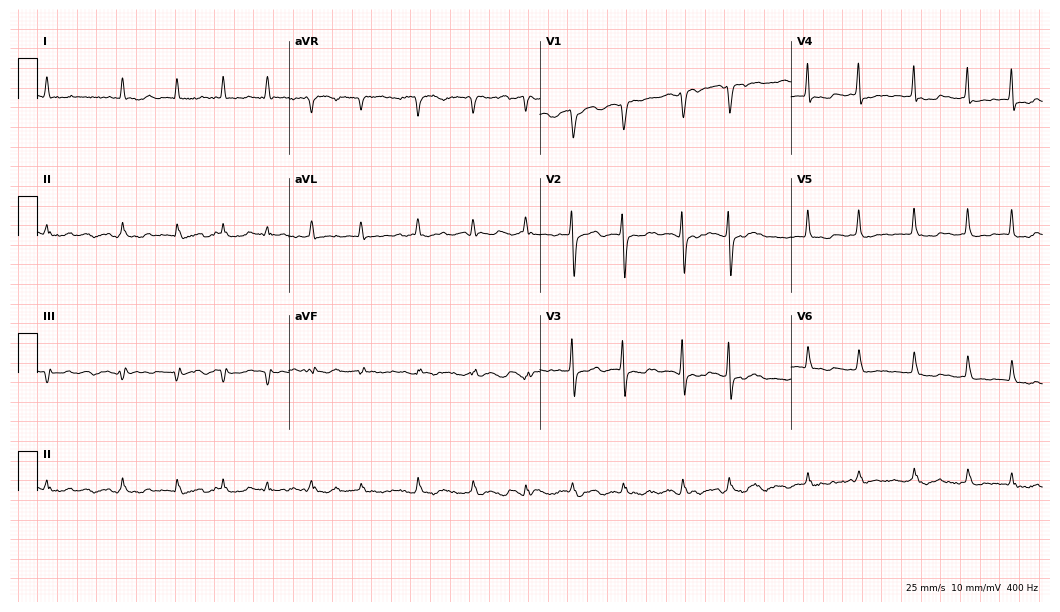
12-lead ECG from a female patient, 67 years old (10.2-second recording at 400 Hz). Shows atrial fibrillation.